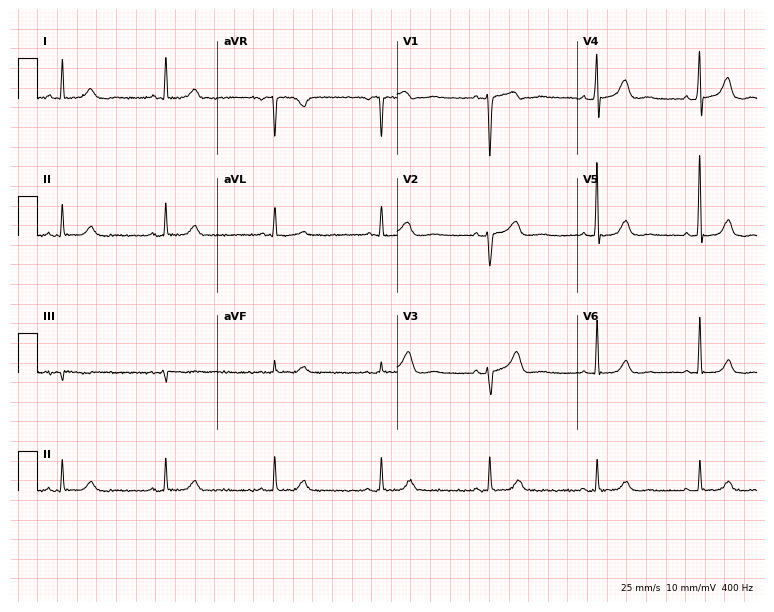
Resting 12-lead electrocardiogram. Patient: a female, 41 years old. None of these six findings is recorded: first-degree AV block, right bundle branch block, left bundle branch block, sinus bradycardia, atrial fibrillation, sinus tachycardia. Findings outside these six are not listed.